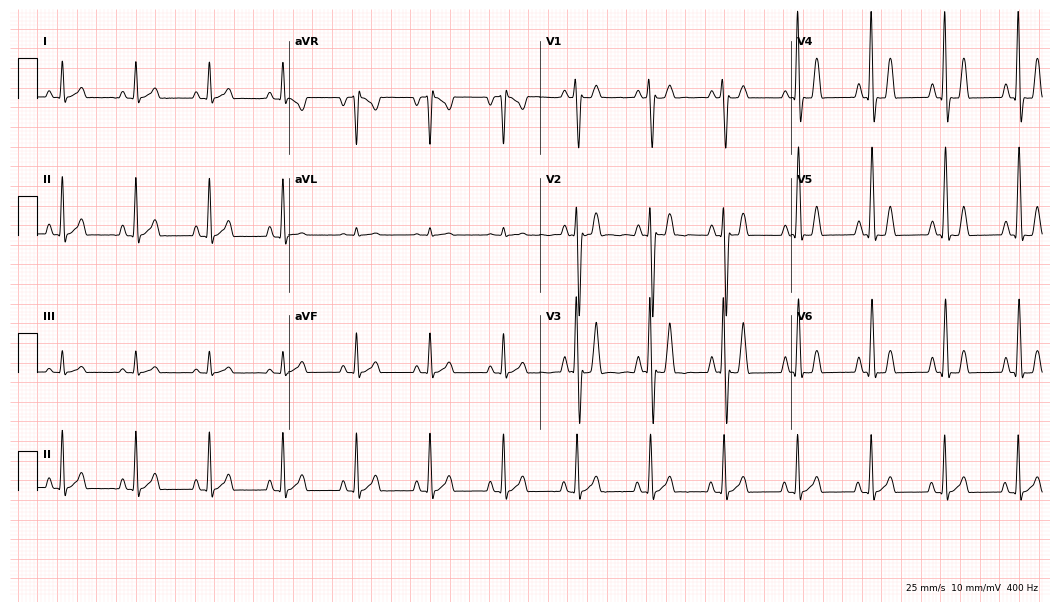
Resting 12-lead electrocardiogram (10.2-second recording at 400 Hz). Patient: a 61-year-old woman. Read as a normal ECG.